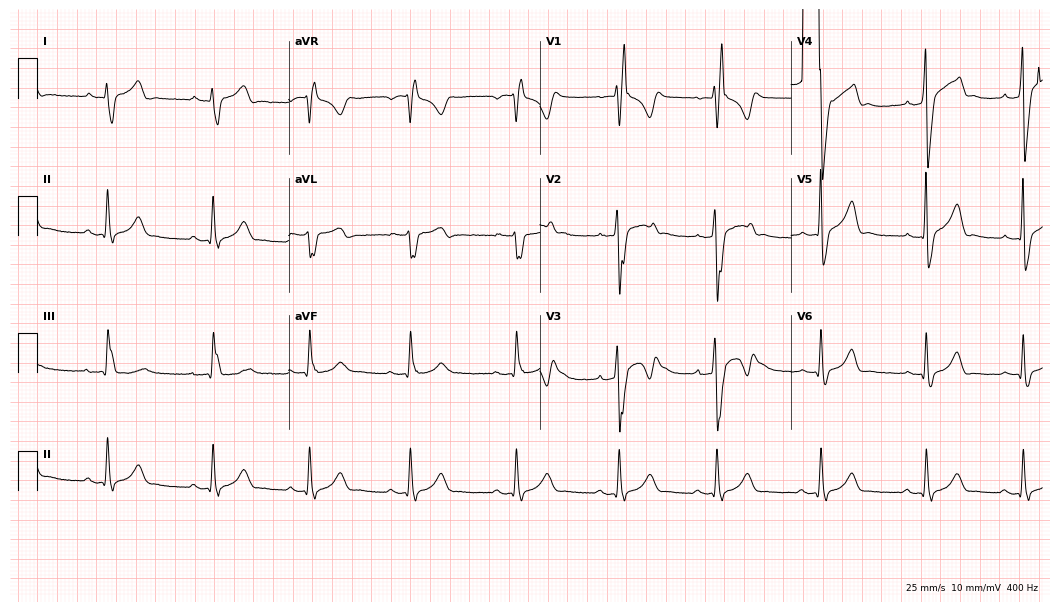
Standard 12-lead ECG recorded from a man, 24 years old (10.2-second recording at 400 Hz). The tracing shows right bundle branch block.